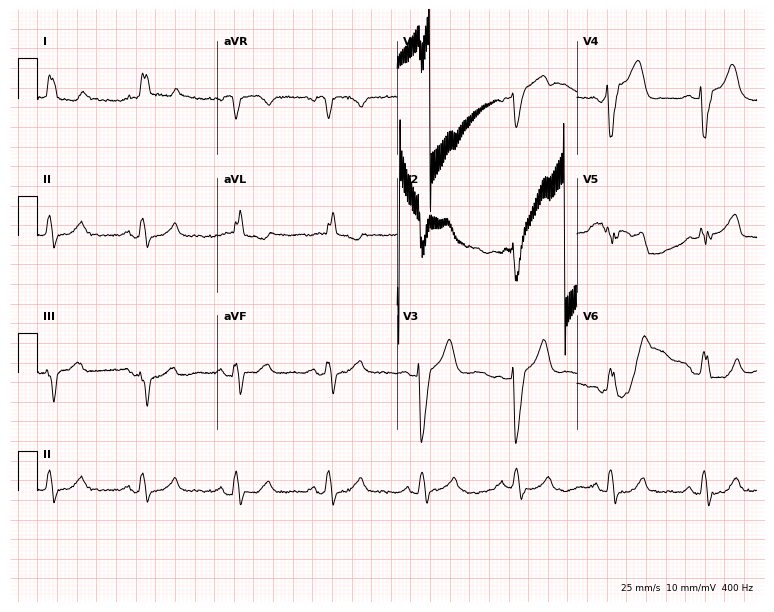
Electrocardiogram (7.3-second recording at 400 Hz), a woman, 79 years old. Of the six screened findings (first-degree AV block, right bundle branch block, left bundle branch block, sinus bradycardia, atrial fibrillation, sinus tachycardia), none is recorded.